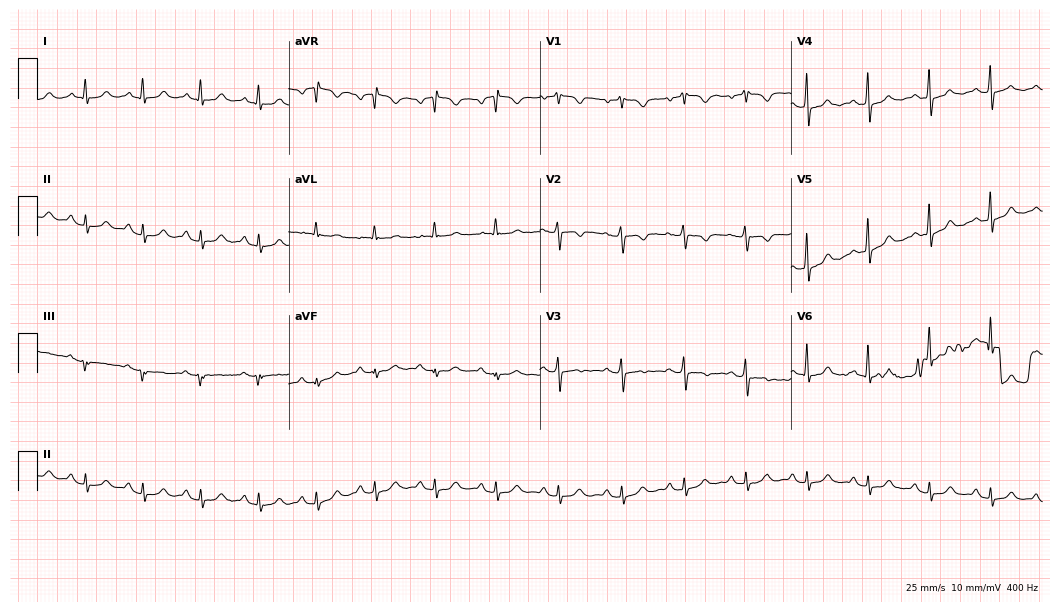
12-lead ECG from a 54-year-old woman (10.2-second recording at 400 Hz). No first-degree AV block, right bundle branch block, left bundle branch block, sinus bradycardia, atrial fibrillation or sinus tachycardia recorded for this tracing. Only these six findings were labelled.